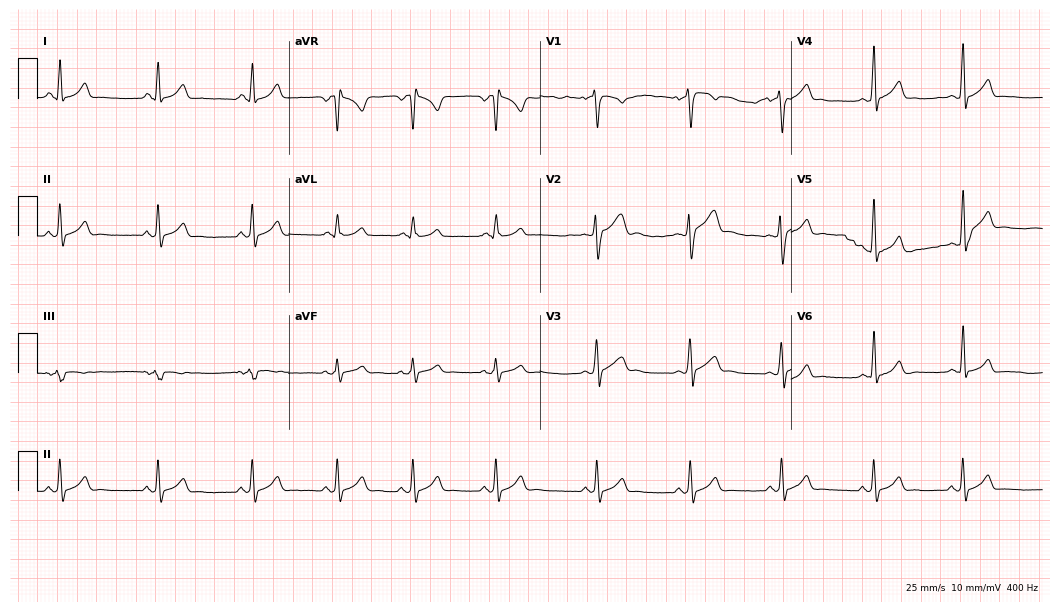
12-lead ECG from a 19-year-old male patient. Recorded interpretation: within normal limits.